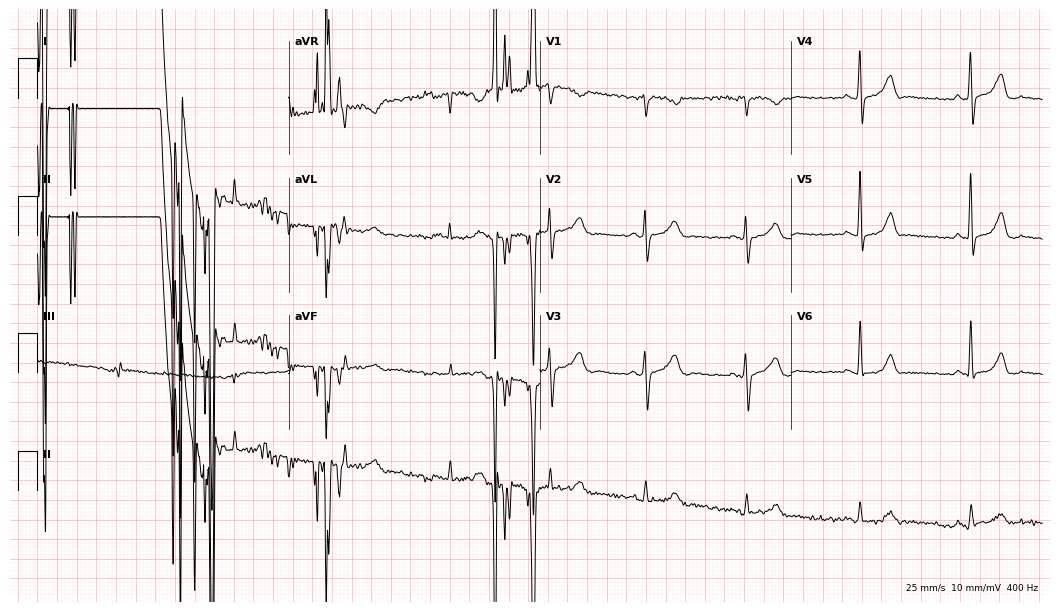
Standard 12-lead ECG recorded from a 57-year-old man. None of these six findings is recorded: first-degree AV block, right bundle branch block, left bundle branch block, sinus bradycardia, atrial fibrillation, sinus tachycardia. Findings outside these six are not listed.